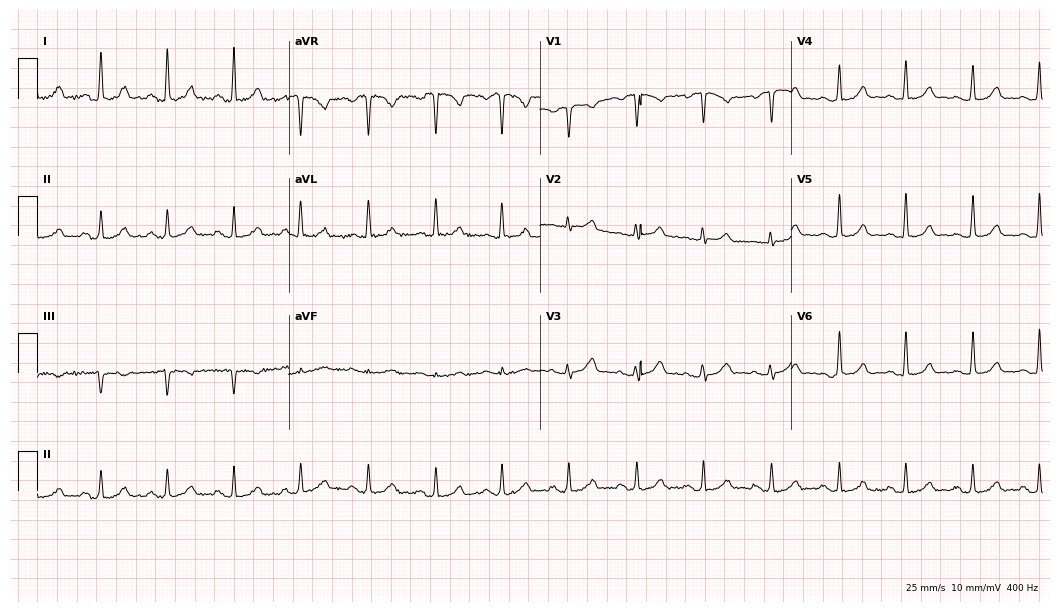
12-lead ECG from a woman, 35 years old. Recorded interpretation: within normal limits.